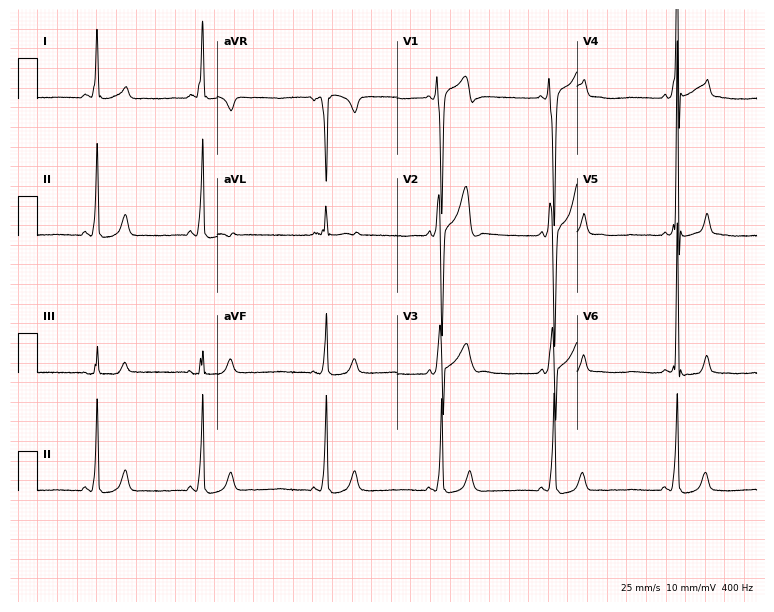
ECG (7.3-second recording at 400 Hz) — a male patient, 21 years old. Screened for six findings — first-degree AV block, right bundle branch block (RBBB), left bundle branch block (LBBB), sinus bradycardia, atrial fibrillation (AF), sinus tachycardia — none is recorded. Findings outside these six are not listed.